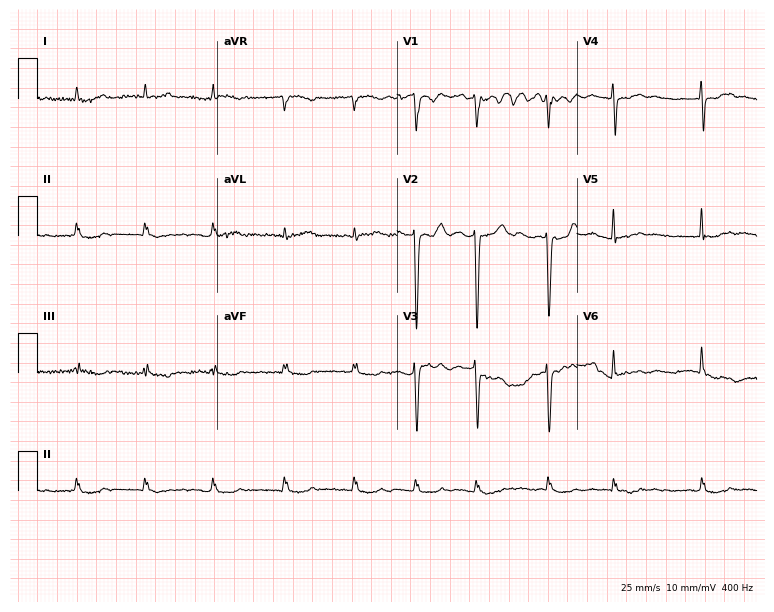
12-lead ECG from a woman, 82 years old. Findings include atrial fibrillation.